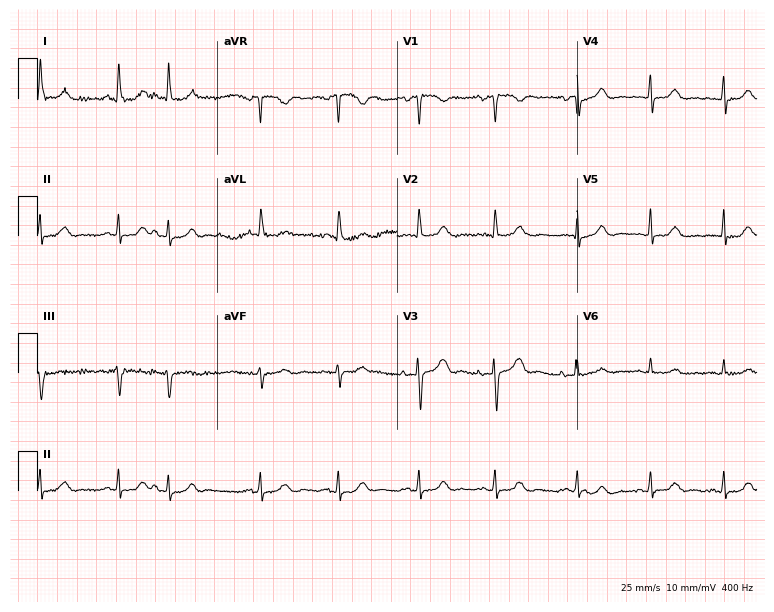
ECG — an 84-year-old woman. Screened for six findings — first-degree AV block, right bundle branch block, left bundle branch block, sinus bradycardia, atrial fibrillation, sinus tachycardia — none is recorded.